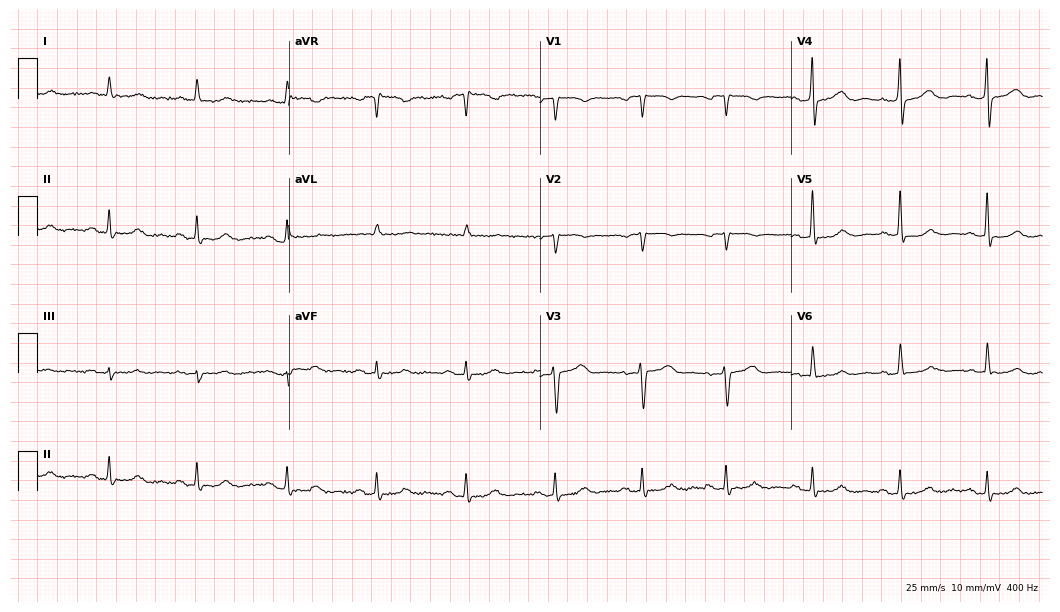
12-lead ECG from a male, 84 years old. Labelled as a normal ECG.